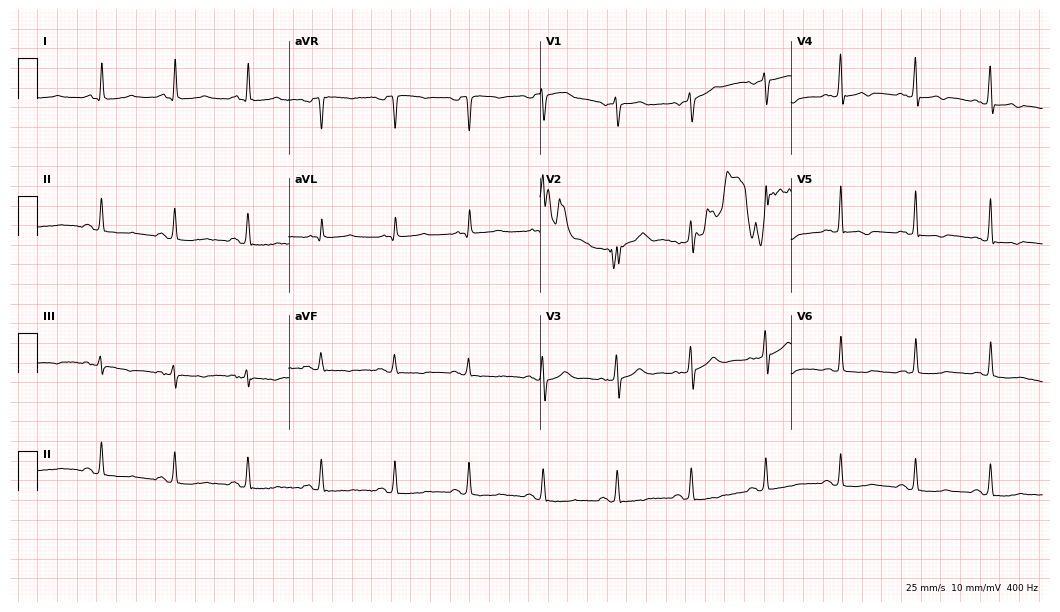
12-lead ECG from a 57-year-old female (10.2-second recording at 400 Hz). No first-degree AV block, right bundle branch block, left bundle branch block, sinus bradycardia, atrial fibrillation or sinus tachycardia recorded for this tracing. Findings outside these six are not listed.